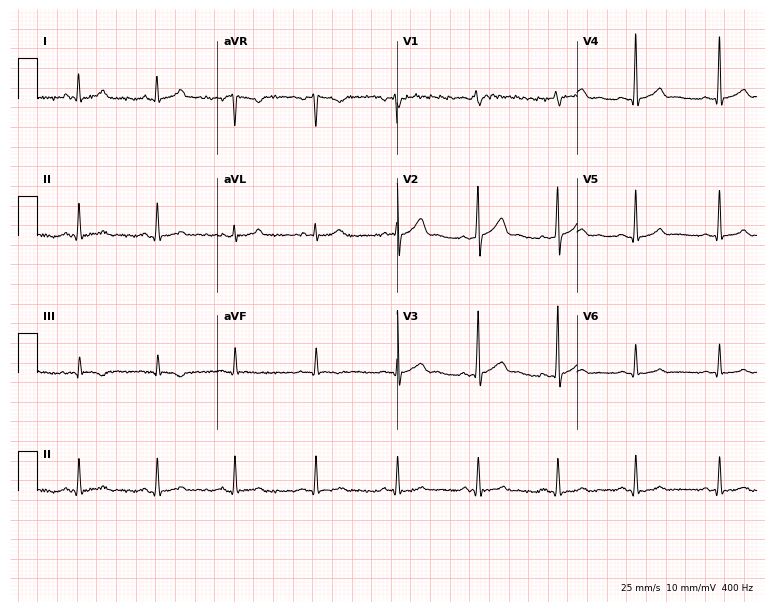
12-lead ECG (7.3-second recording at 400 Hz) from a 27-year-old male. Screened for six findings — first-degree AV block, right bundle branch block, left bundle branch block, sinus bradycardia, atrial fibrillation, sinus tachycardia — none is recorded.